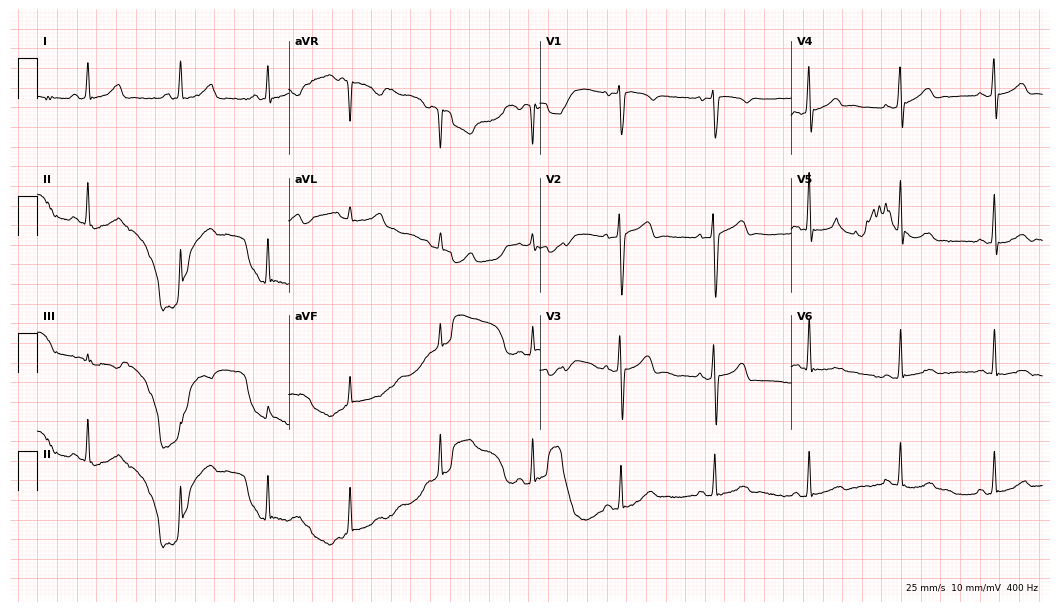
ECG (10.2-second recording at 400 Hz) — a man, 26 years old. Screened for six findings — first-degree AV block, right bundle branch block (RBBB), left bundle branch block (LBBB), sinus bradycardia, atrial fibrillation (AF), sinus tachycardia — none is recorded. Findings outside these six are not listed.